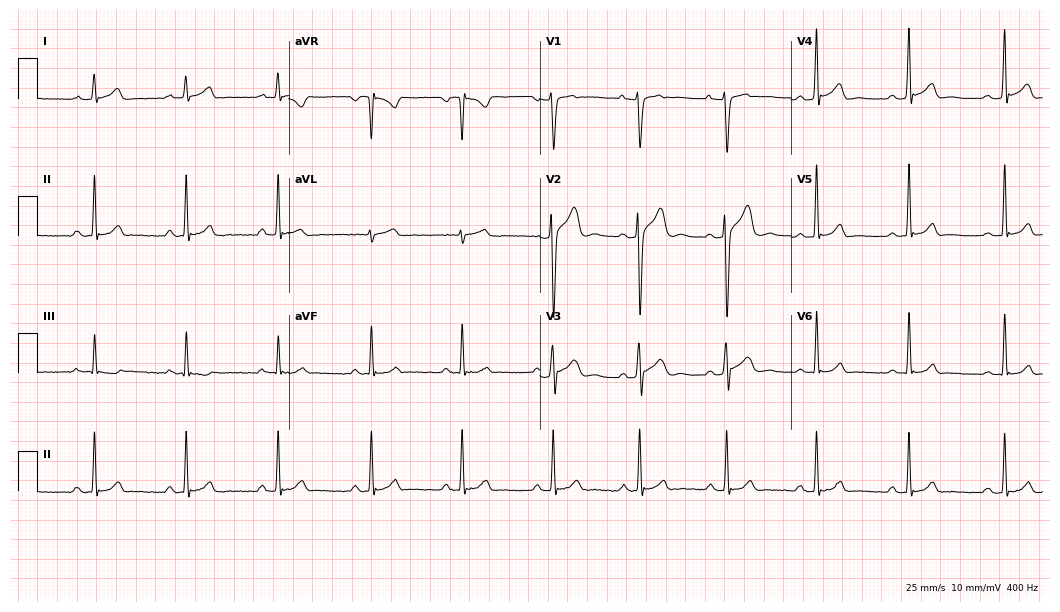
Standard 12-lead ECG recorded from a man, 25 years old. None of these six findings is recorded: first-degree AV block, right bundle branch block (RBBB), left bundle branch block (LBBB), sinus bradycardia, atrial fibrillation (AF), sinus tachycardia.